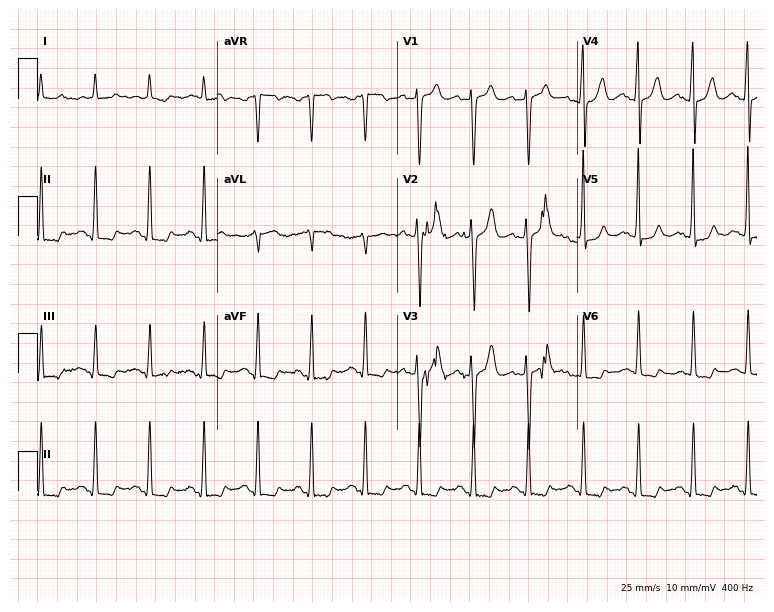
ECG (7.3-second recording at 400 Hz) — a male patient, 64 years old. Findings include sinus tachycardia (a sinus rate of 100 beats per minute or more).